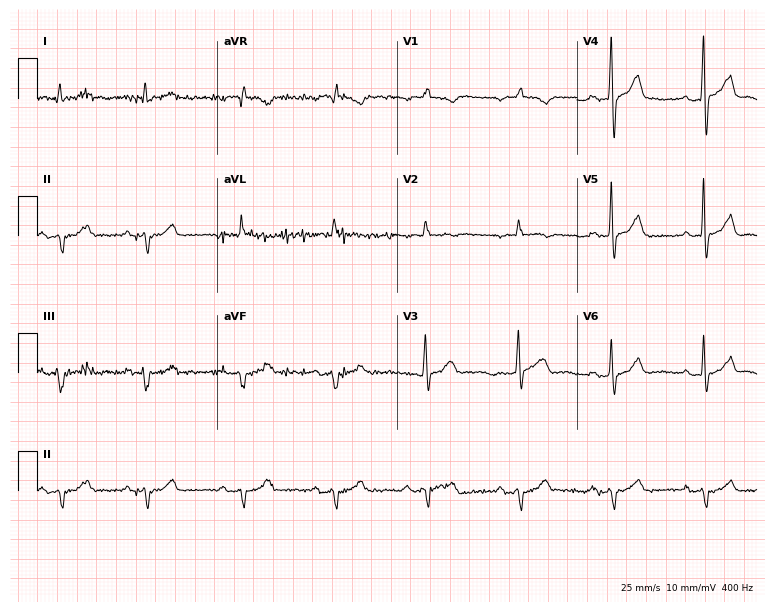
Standard 12-lead ECG recorded from a male patient, 74 years old. None of these six findings is recorded: first-degree AV block, right bundle branch block (RBBB), left bundle branch block (LBBB), sinus bradycardia, atrial fibrillation (AF), sinus tachycardia. Other findings, if any, are not listed.